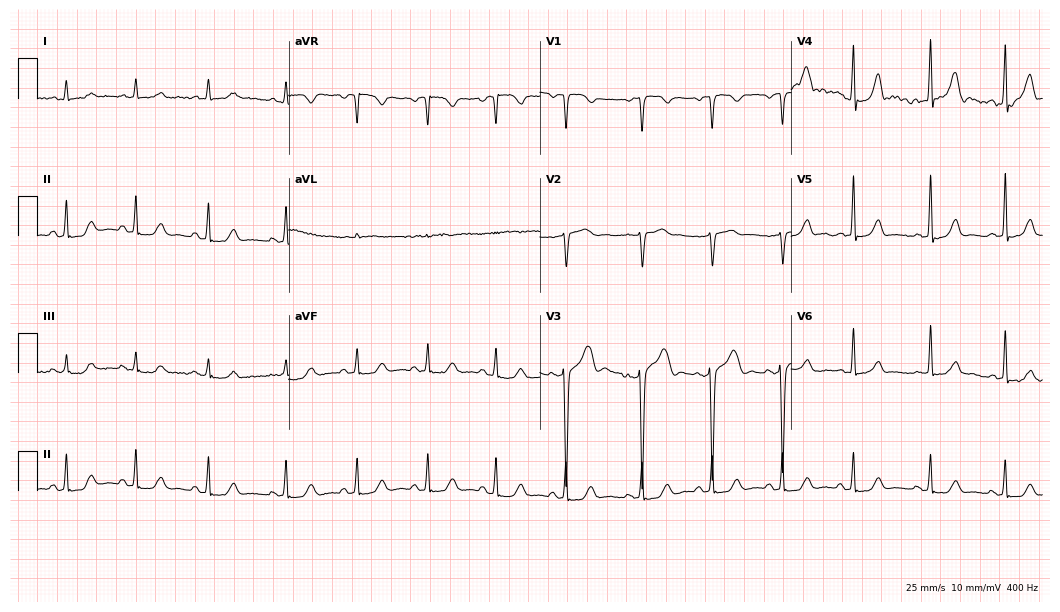
ECG (10.2-second recording at 400 Hz) — a female patient, 83 years old. Labelled as a normal ECG.